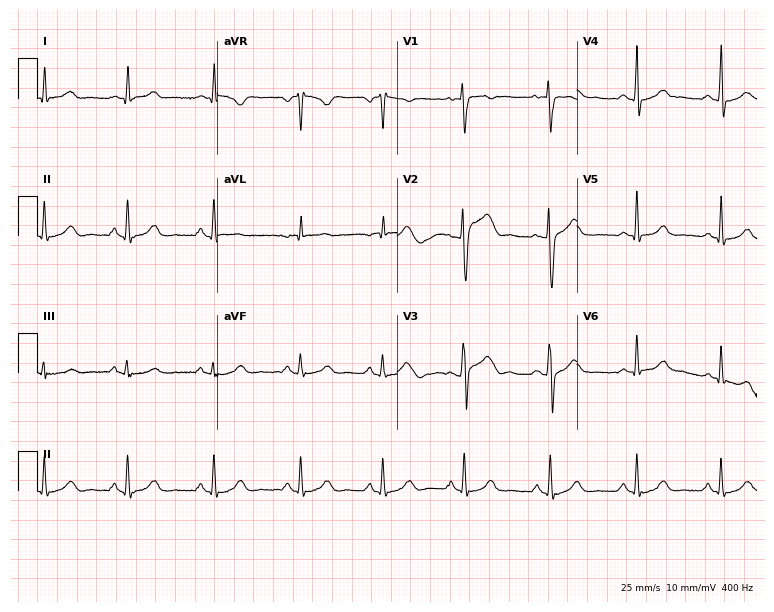
12-lead ECG (7.3-second recording at 400 Hz) from a 42-year-old female. Screened for six findings — first-degree AV block, right bundle branch block, left bundle branch block, sinus bradycardia, atrial fibrillation, sinus tachycardia — none is recorded. Other findings, if any, are not listed.